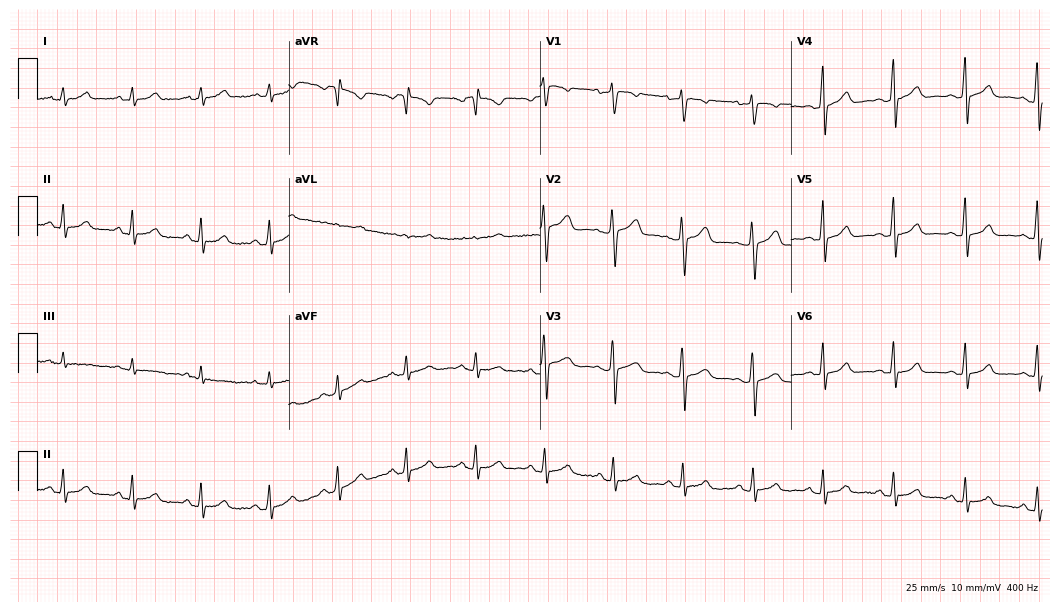
12-lead ECG (10.2-second recording at 400 Hz) from a woman, 33 years old. Labelled as a normal ECG.